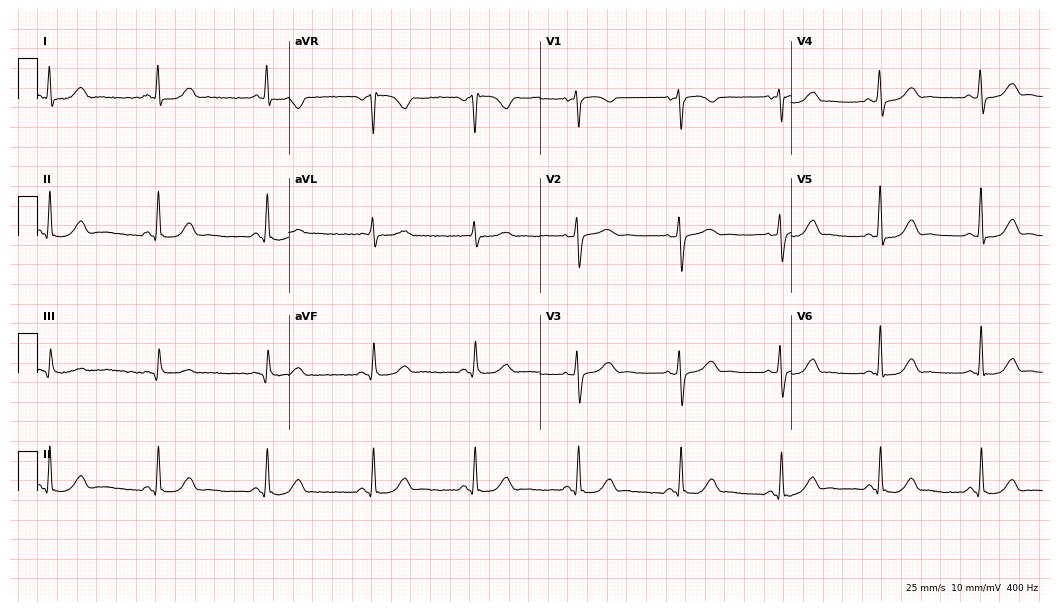
ECG (10.2-second recording at 400 Hz) — a 63-year-old woman. Screened for six findings — first-degree AV block, right bundle branch block, left bundle branch block, sinus bradycardia, atrial fibrillation, sinus tachycardia — none is recorded.